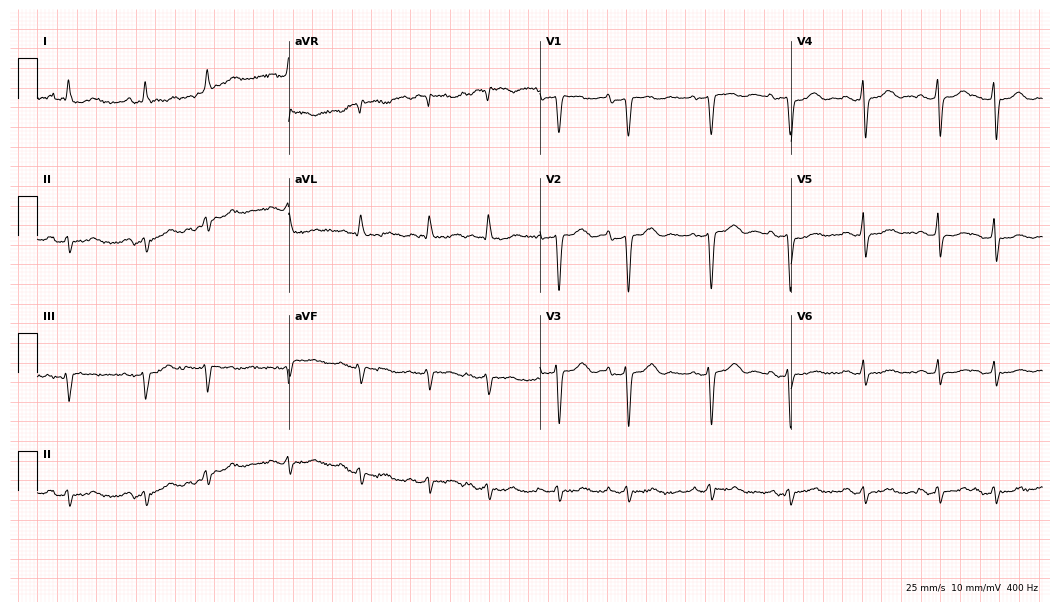
ECG — an 84-year-old male. Screened for six findings — first-degree AV block, right bundle branch block, left bundle branch block, sinus bradycardia, atrial fibrillation, sinus tachycardia — none is recorded. Other findings, if any, are not listed.